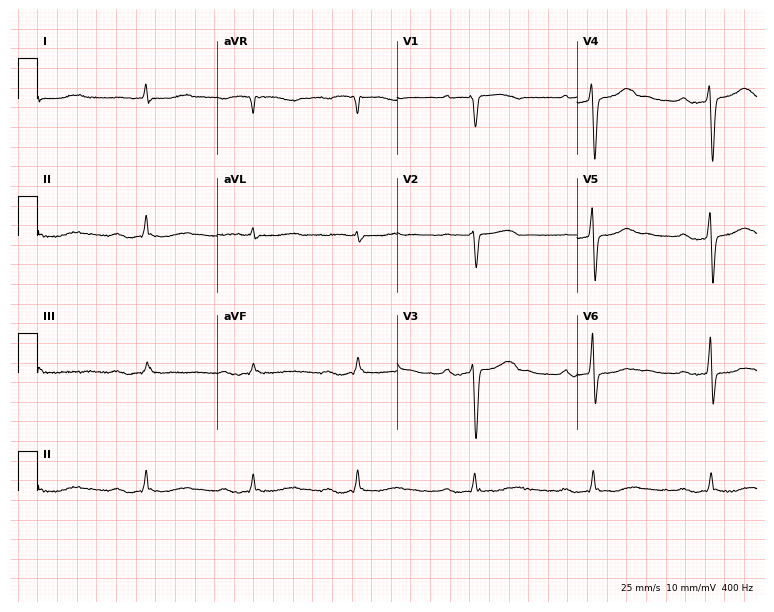
Electrocardiogram, a male, 78 years old. Interpretation includes first-degree AV block.